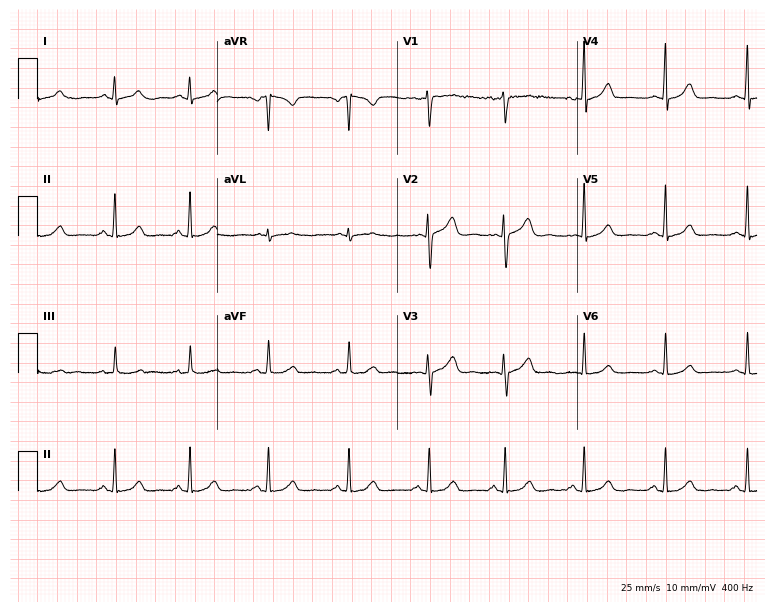
12-lead ECG from a 39-year-old woman. Recorded interpretation: within normal limits.